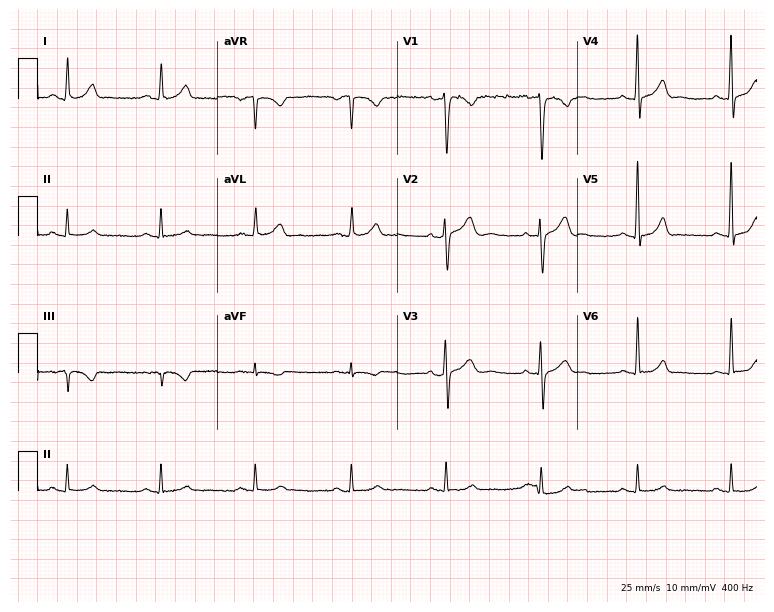
ECG (7.3-second recording at 400 Hz) — a man, 45 years old. Labelled as a normal ECG.